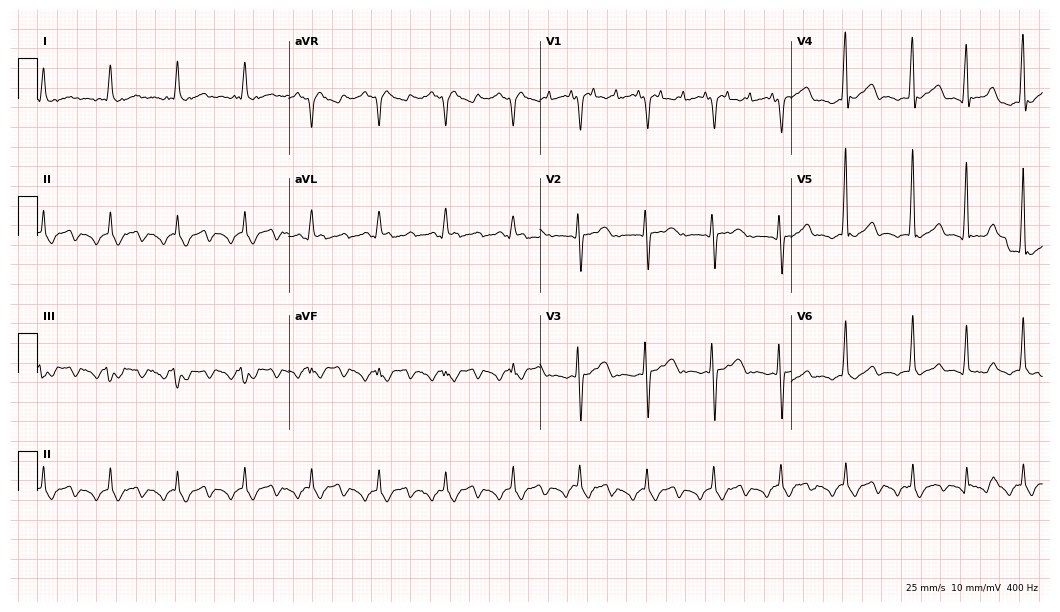
12-lead ECG from a 45-year-old male patient. No first-degree AV block, right bundle branch block (RBBB), left bundle branch block (LBBB), sinus bradycardia, atrial fibrillation (AF) or sinus tachycardia recorded for this tracing. Findings outside these six are not listed.